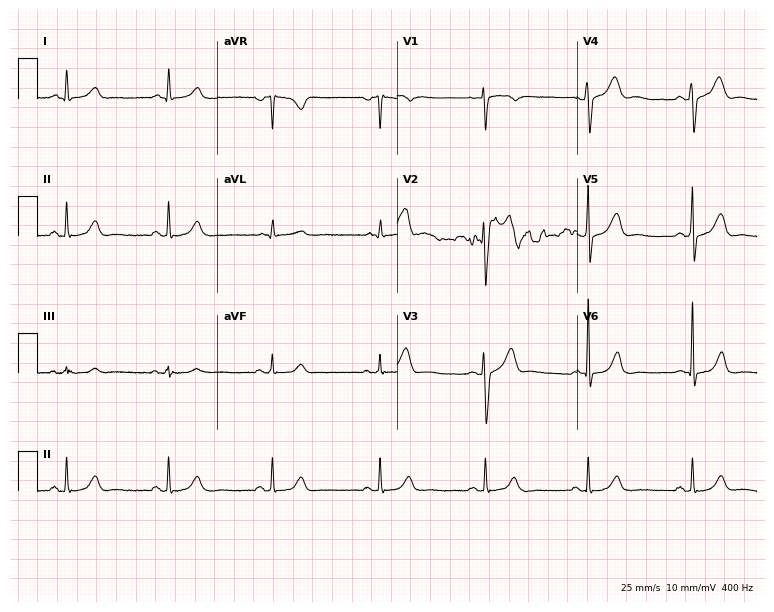
Resting 12-lead electrocardiogram (7.3-second recording at 400 Hz). Patient: a 56-year-old man. Read as a normal ECG.